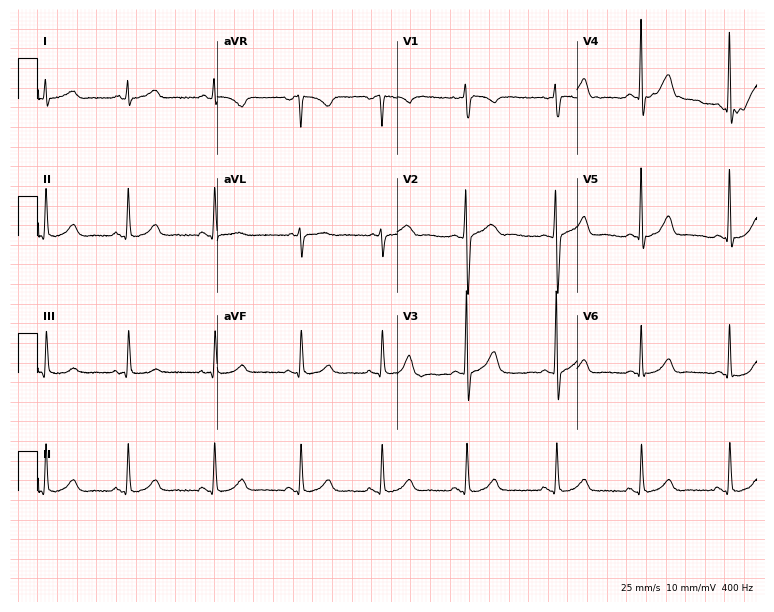
12-lead ECG from a woman, 30 years old. Labelled as a normal ECG.